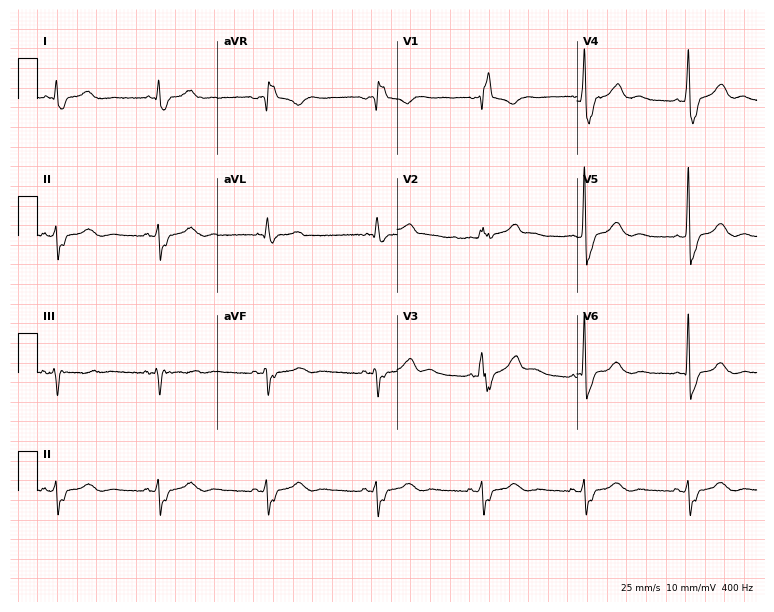
12-lead ECG (7.3-second recording at 400 Hz) from a 69-year-old male. Screened for six findings — first-degree AV block, right bundle branch block, left bundle branch block, sinus bradycardia, atrial fibrillation, sinus tachycardia — none is recorded. Other findings, if any, are not listed.